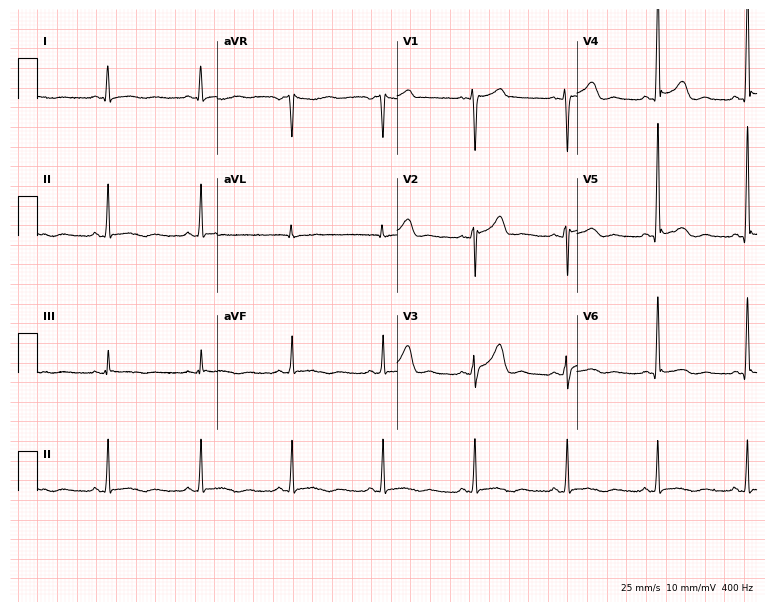
Resting 12-lead electrocardiogram. Patient: a 45-year-old man. None of these six findings is recorded: first-degree AV block, right bundle branch block (RBBB), left bundle branch block (LBBB), sinus bradycardia, atrial fibrillation (AF), sinus tachycardia.